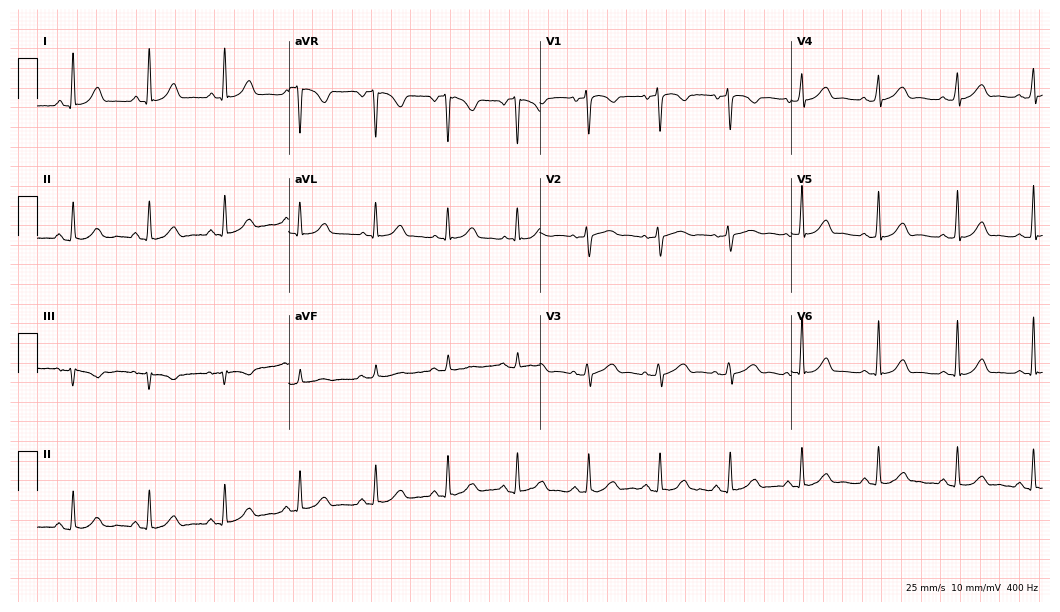
Standard 12-lead ECG recorded from a 43-year-old female patient (10.2-second recording at 400 Hz). None of these six findings is recorded: first-degree AV block, right bundle branch block, left bundle branch block, sinus bradycardia, atrial fibrillation, sinus tachycardia. Findings outside these six are not listed.